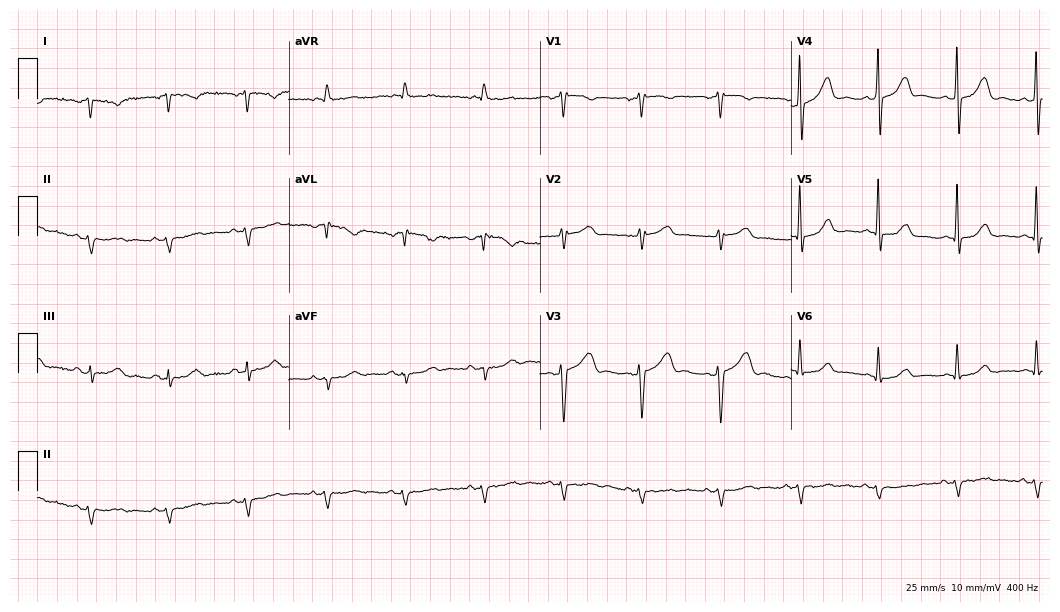
ECG (10.2-second recording at 400 Hz) — a 56-year-old female patient. Screened for six findings — first-degree AV block, right bundle branch block, left bundle branch block, sinus bradycardia, atrial fibrillation, sinus tachycardia — none is recorded. Only these six findings were labelled.